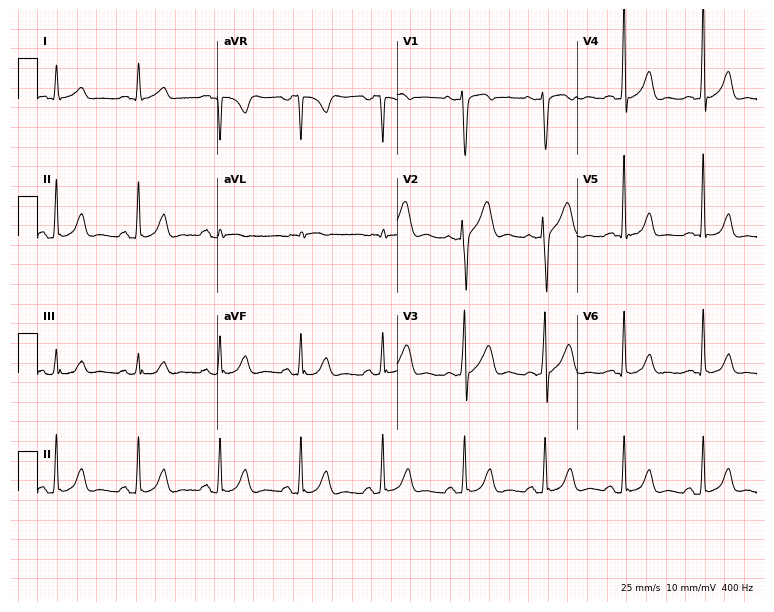
Resting 12-lead electrocardiogram (7.3-second recording at 400 Hz). Patient: a man, 47 years old. Read as a normal ECG.